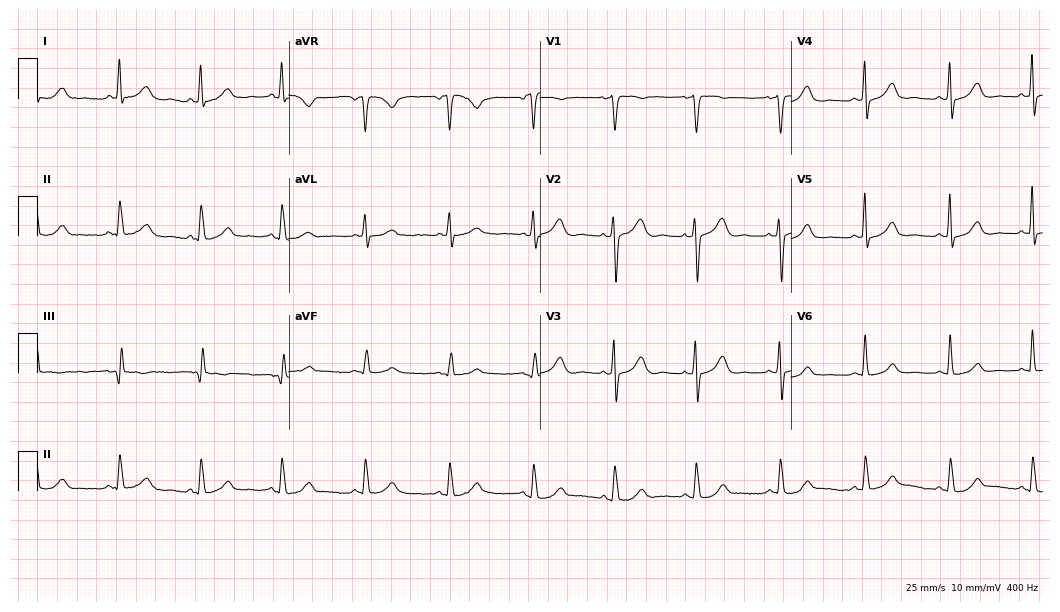
12-lead ECG from a 47-year-old female patient. Labelled as a normal ECG.